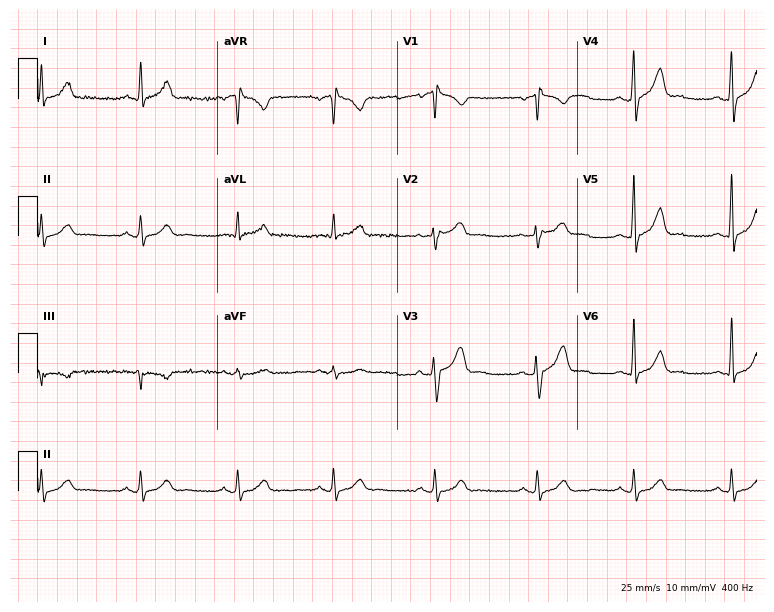
12-lead ECG from a male patient, 51 years old (7.3-second recording at 400 Hz). Recorded interpretation: within normal limits.